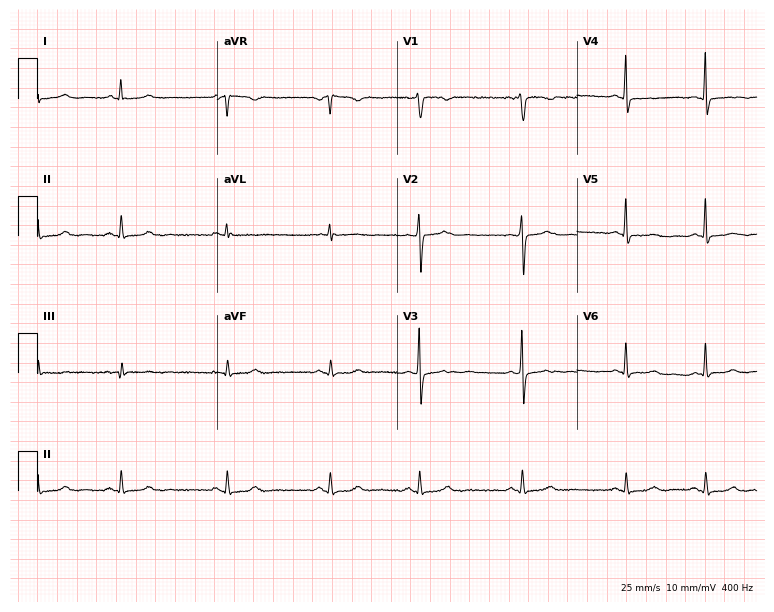
Standard 12-lead ECG recorded from a female, 27 years old (7.3-second recording at 400 Hz). None of these six findings is recorded: first-degree AV block, right bundle branch block, left bundle branch block, sinus bradycardia, atrial fibrillation, sinus tachycardia.